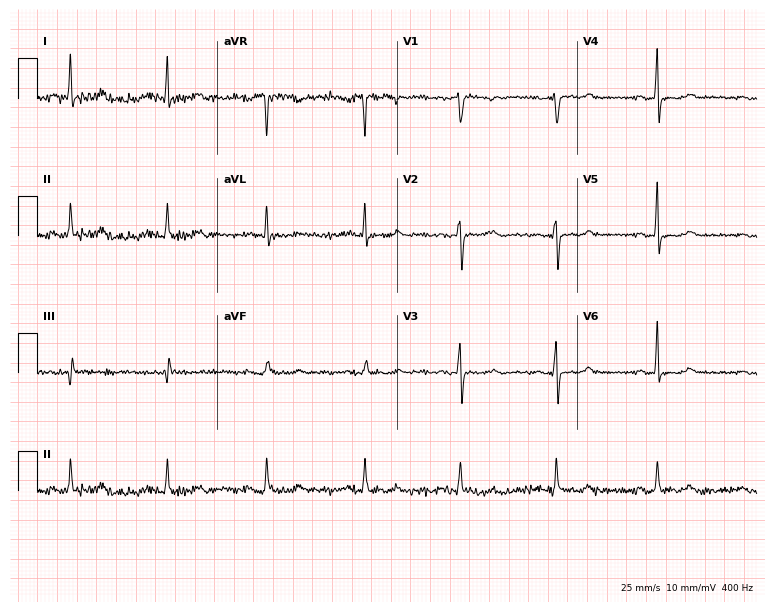
12-lead ECG (7.3-second recording at 400 Hz) from a 49-year-old woman. Screened for six findings — first-degree AV block, right bundle branch block, left bundle branch block, sinus bradycardia, atrial fibrillation, sinus tachycardia — none is recorded. Findings outside these six are not listed.